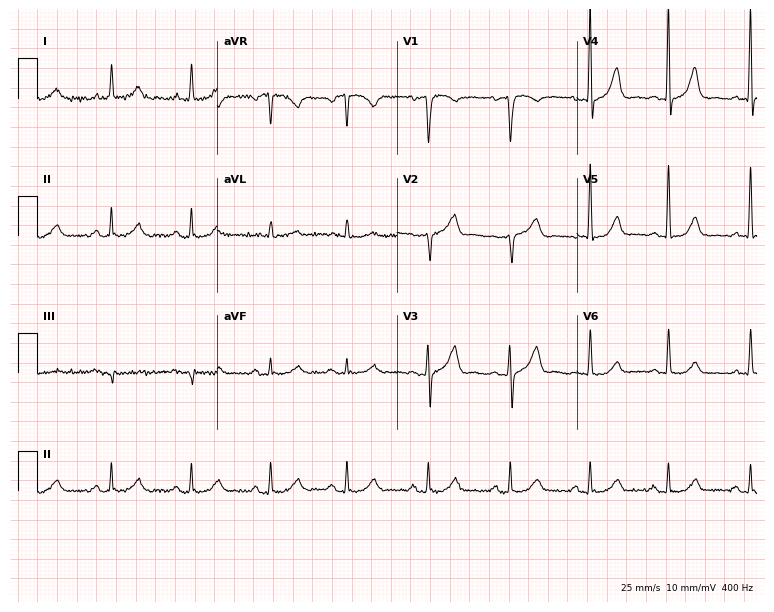
12-lead ECG from a male, 69 years old (7.3-second recording at 400 Hz). Recorded interpretation: within normal limits.